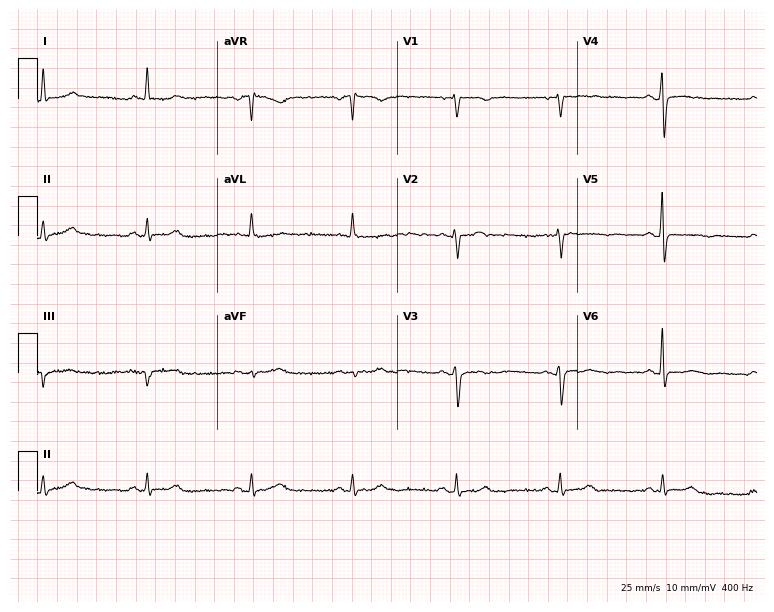
12-lead ECG from a female, 55 years old. Screened for six findings — first-degree AV block, right bundle branch block (RBBB), left bundle branch block (LBBB), sinus bradycardia, atrial fibrillation (AF), sinus tachycardia — none is recorded. Only these six findings were labelled.